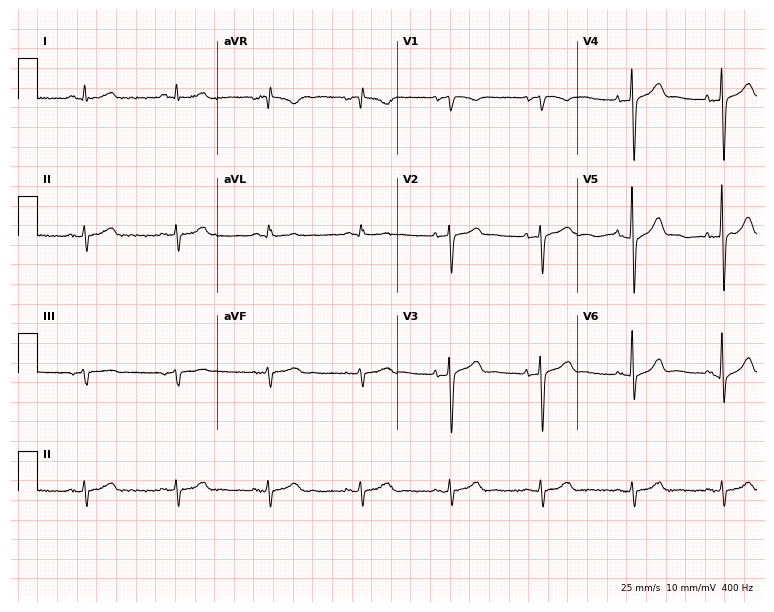
ECG — a 71-year-old male. Labelled as a normal ECG.